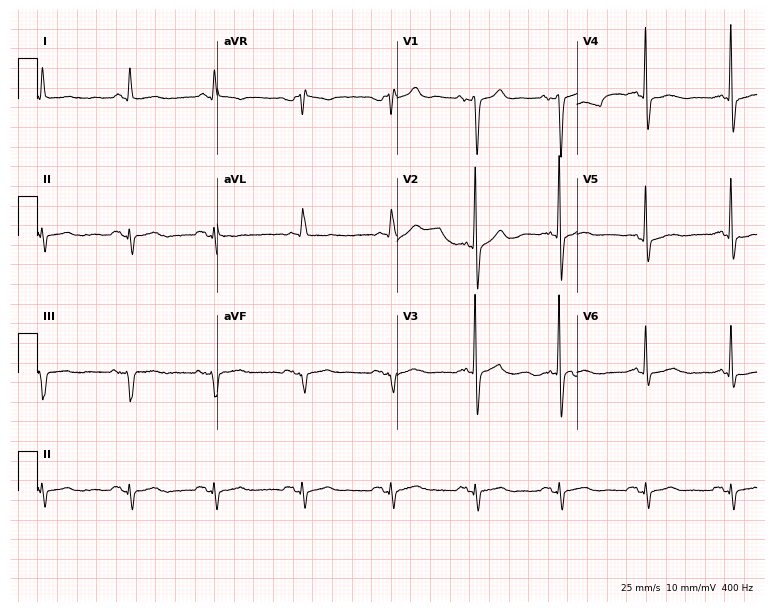
12-lead ECG (7.3-second recording at 400 Hz) from an 81-year-old woman. Screened for six findings — first-degree AV block, right bundle branch block, left bundle branch block, sinus bradycardia, atrial fibrillation, sinus tachycardia — none is recorded.